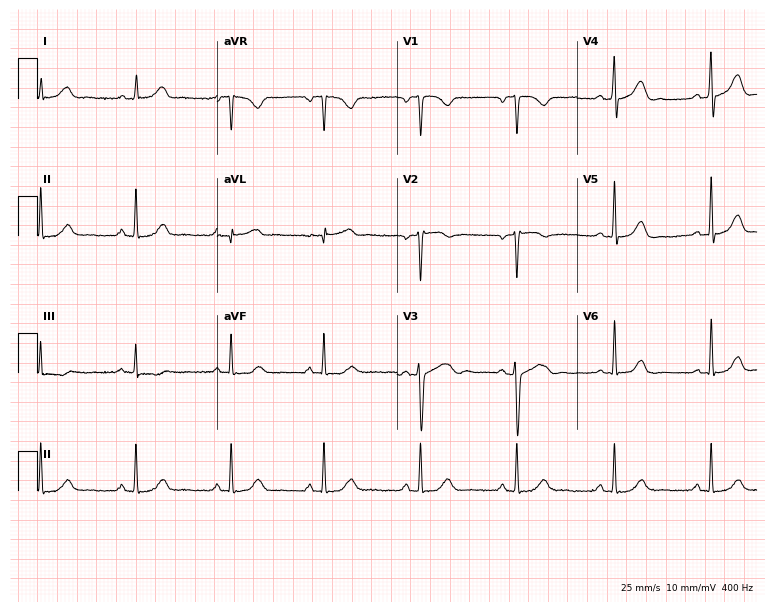
Standard 12-lead ECG recorded from a 33-year-old female (7.3-second recording at 400 Hz). Read as a normal ECG.